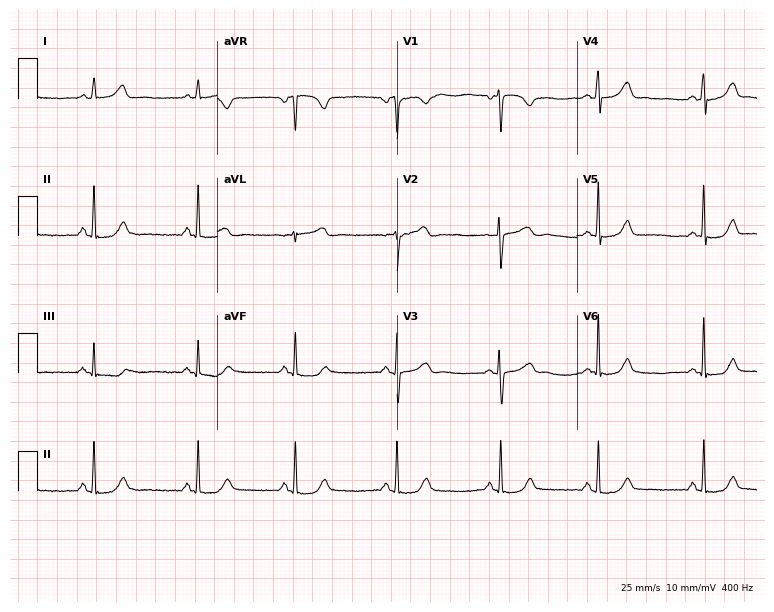
12-lead ECG (7.3-second recording at 400 Hz) from a 26-year-old female patient. Labelled as a normal ECG.